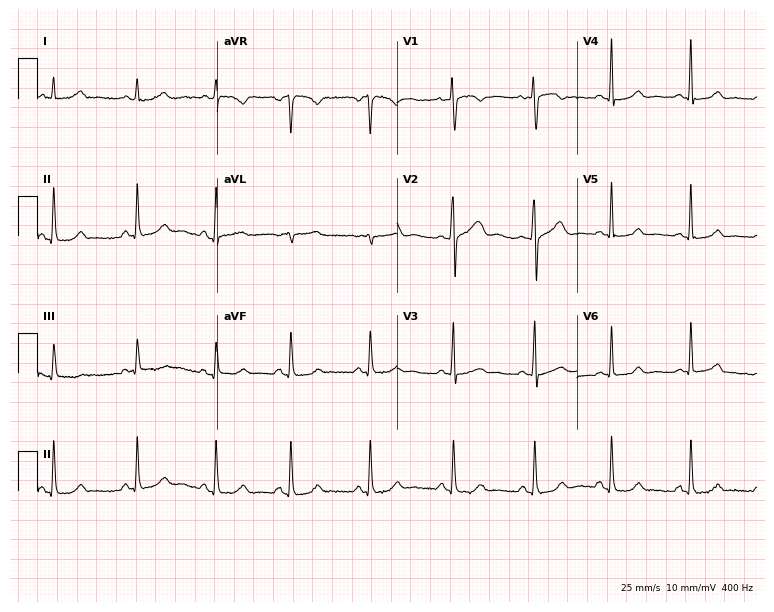
12-lead ECG from a 32-year-old female (7.3-second recording at 400 Hz). No first-degree AV block, right bundle branch block, left bundle branch block, sinus bradycardia, atrial fibrillation or sinus tachycardia recorded for this tracing.